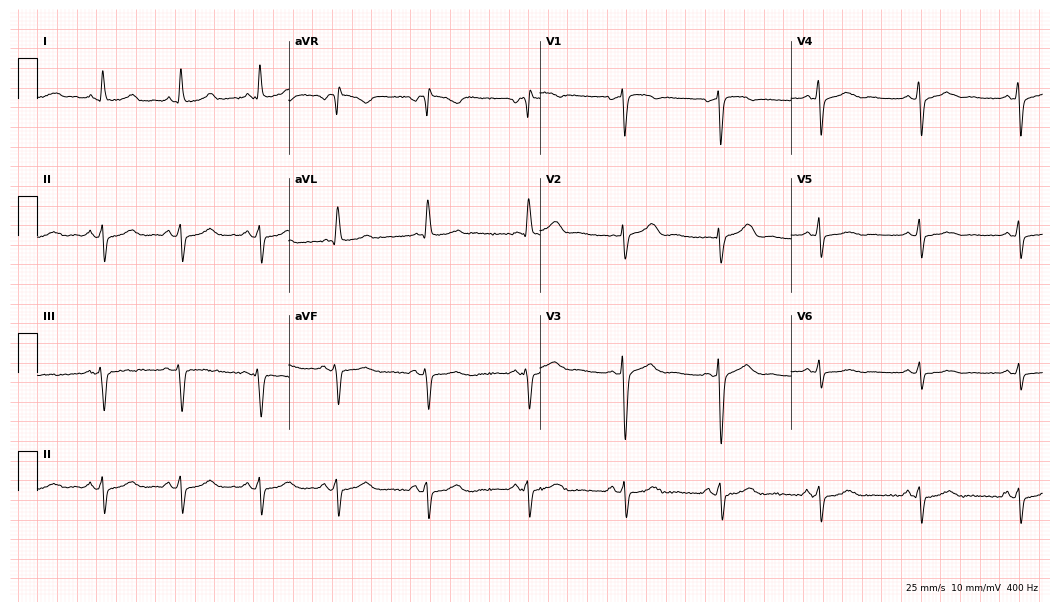
12-lead ECG from a 62-year-old woman. No first-degree AV block, right bundle branch block (RBBB), left bundle branch block (LBBB), sinus bradycardia, atrial fibrillation (AF) or sinus tachycardia recorded for this tracing. Findings outside these six are not listed.